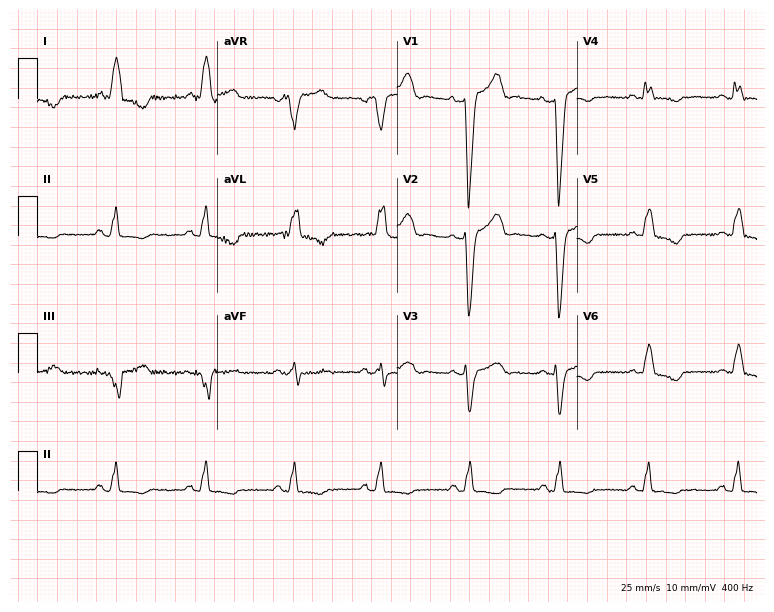
12-lead ECG from a female, 77 years old (7.3-second recording at 400 Hz). Shows left bundle branch block (LBBB).